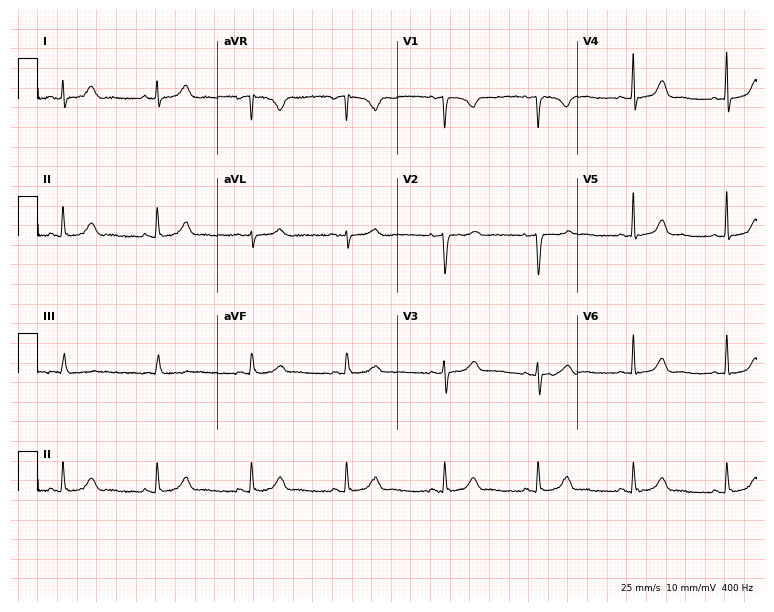
Resting 12-lead electrocardiogram. Patient: a female, 36 years old. Read as a normal ECG.